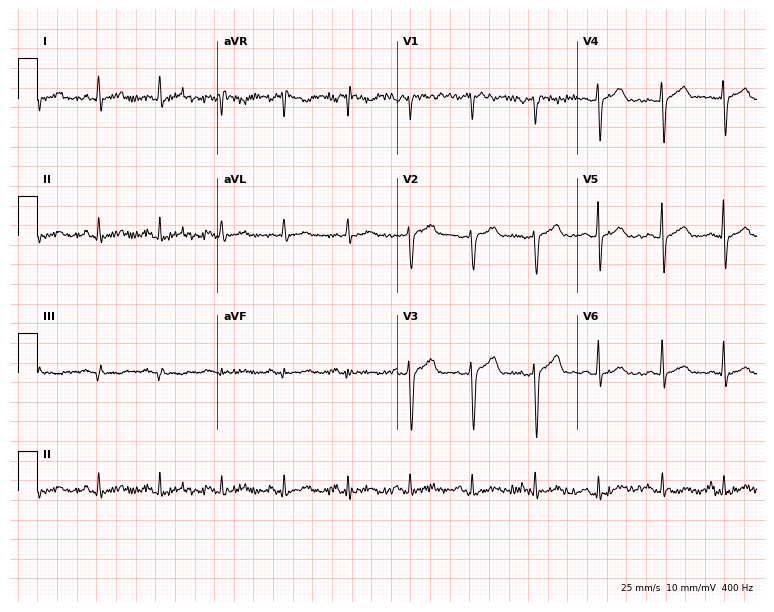
12-lead ECG from a male patient, 49 years old. Recorded interpretation: within normal limits.